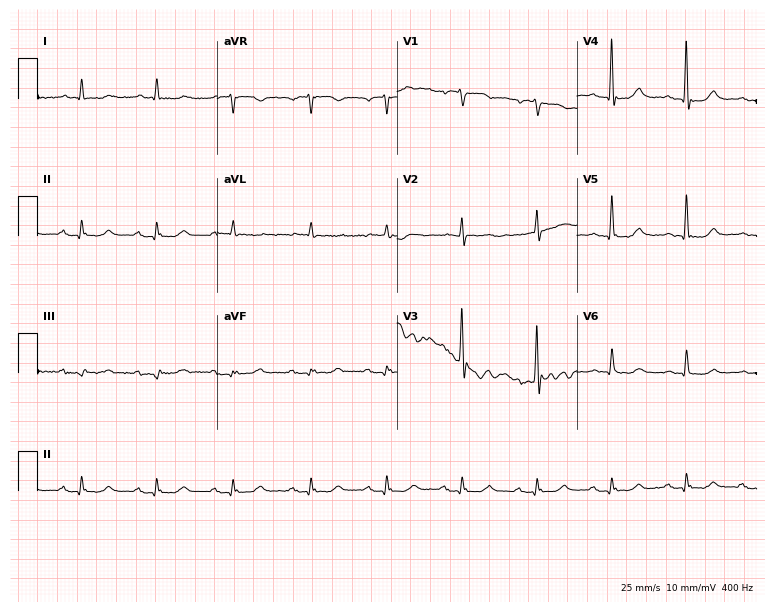
Resting 12-lead electrocardiogram. Patient: a male, 68 years old. None of these six findings is recorded: first-degree AV block, right bundle branch block, left bundle branch block, sinus bradycardia, atrial fibrillation, sinus tachycardia. Only these six findings were labelled.